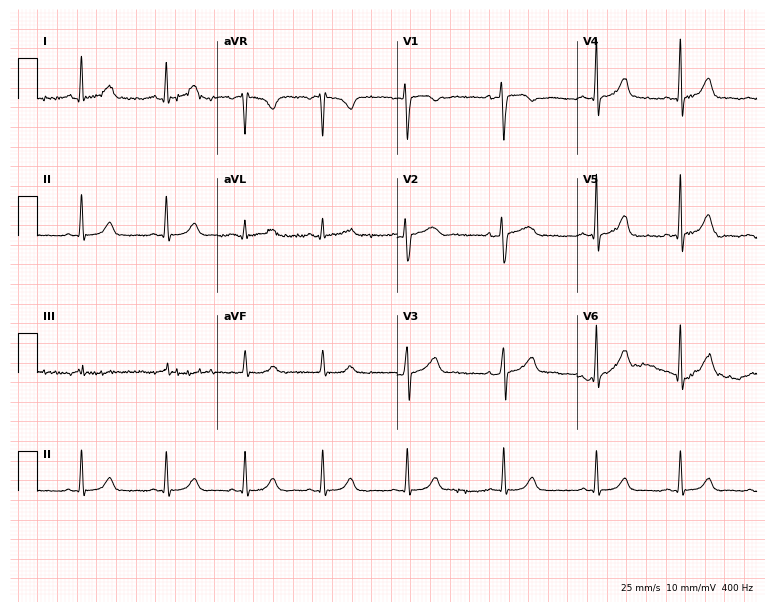
Standard 12-lead ECG recorded from a 25-year-old woman (7.3-second recording at 400 Hz). Read as a normal ECG.